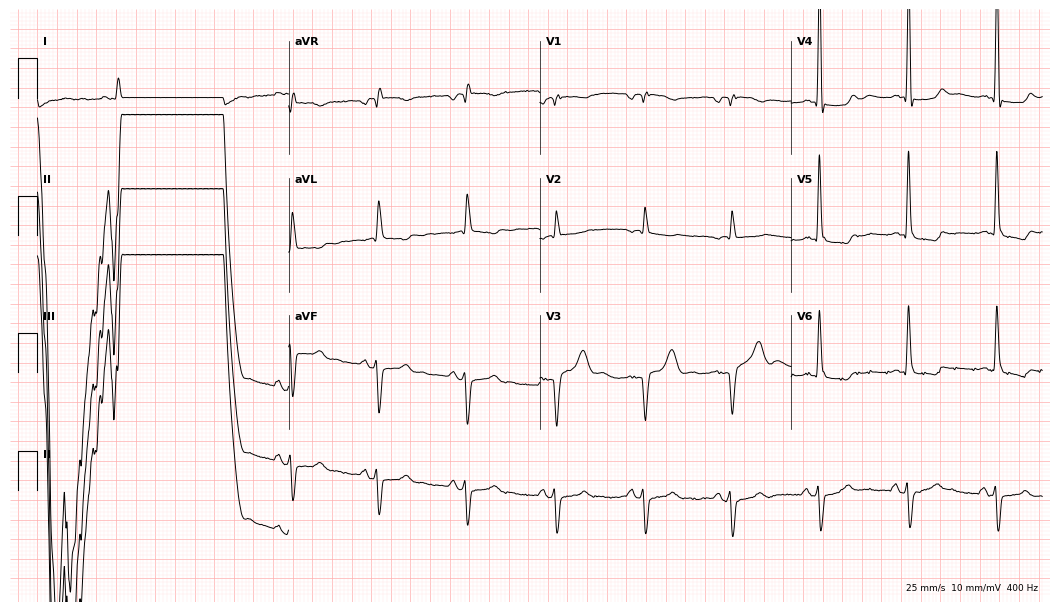
Resting 12-lead electrocardiogram (10.2-second recording at 400 Hz). Patient: a 67-year-old man. None of these six findings is recorded: first-degree AV block, right bundle branch block, left bundle branch block, sinus bradycardia, atrial fibrillation, sinus tachycardia.